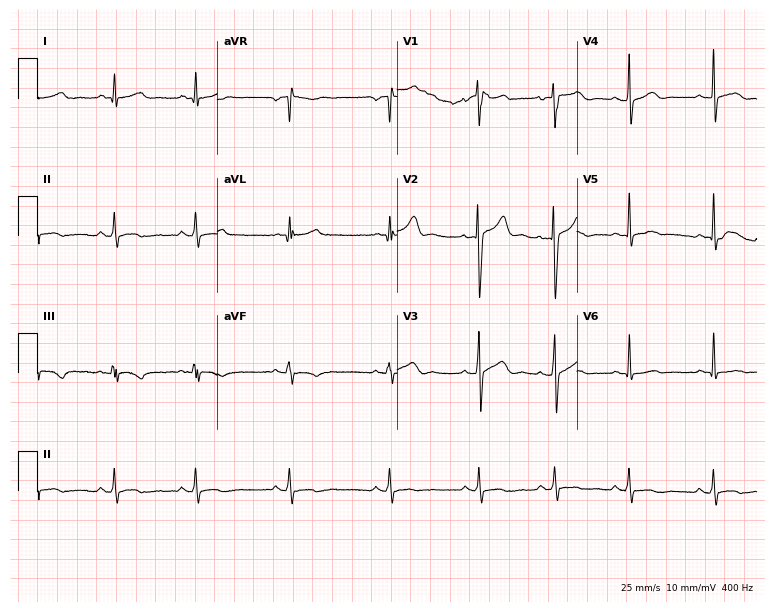
12-lead ECG from a 22-year-old male. Recorded interpretation: within normal limits.